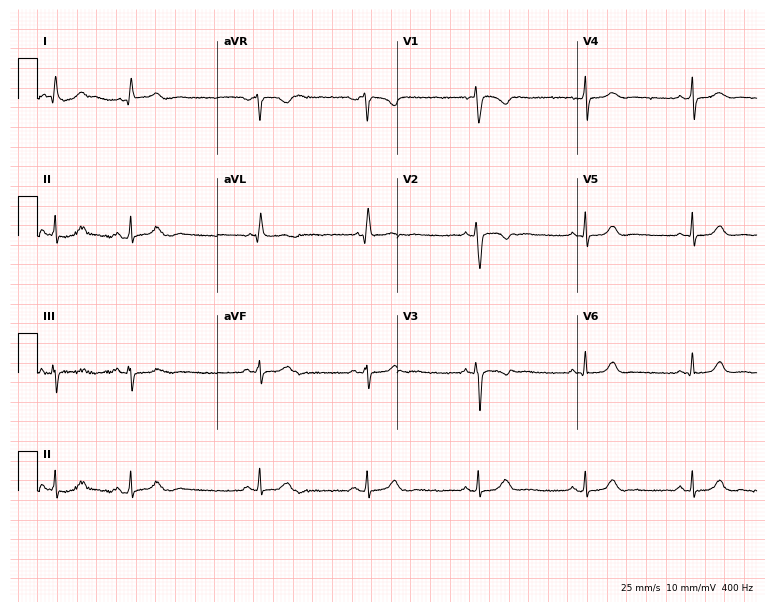
Standard 12-lead ECG recorded from a 17-year-old female patient. Read as a normal ECG.